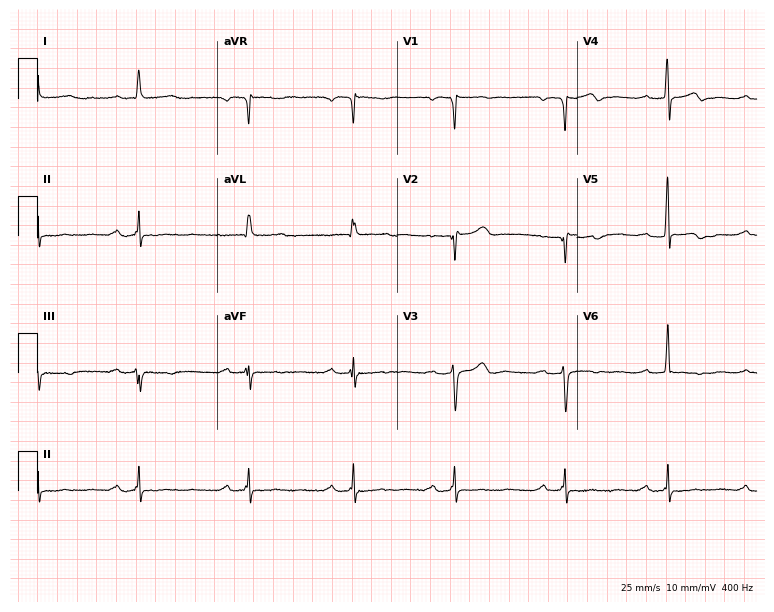
12-lead ECG from a woman, 85 years old. Shows first-degree AV block.